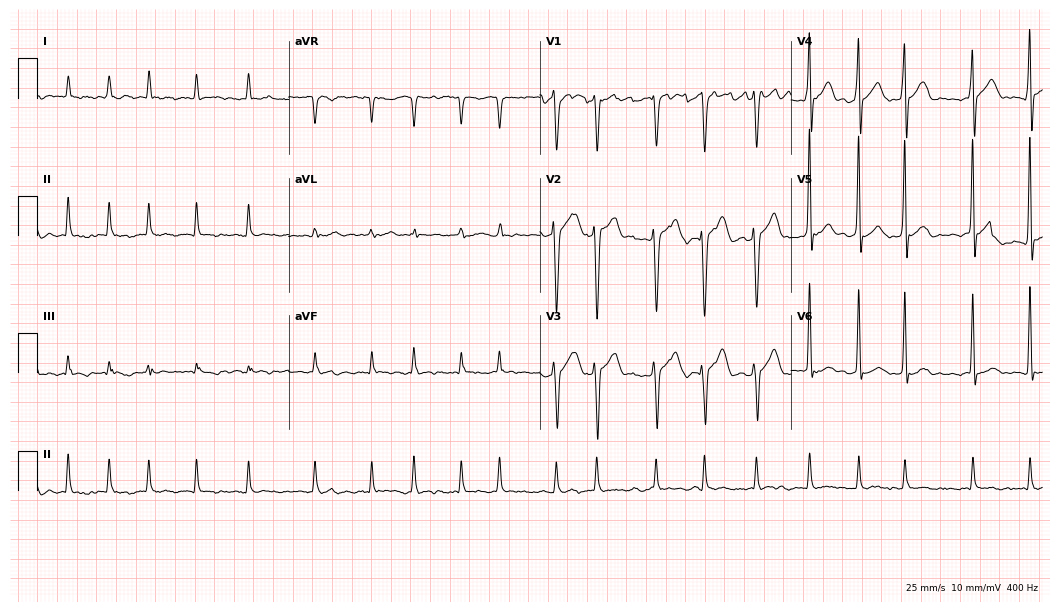
Resting 12-lead electrocardiogram. Patient: a male, 66 years old. The tracing shows atrial fibrillation.